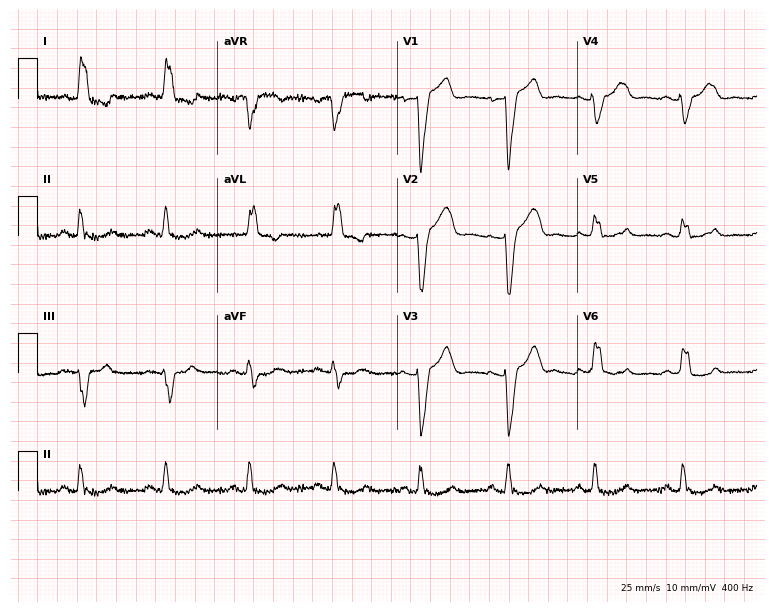
12-lead ECG from a 55-year-old woman. Shows left bundle branch block.